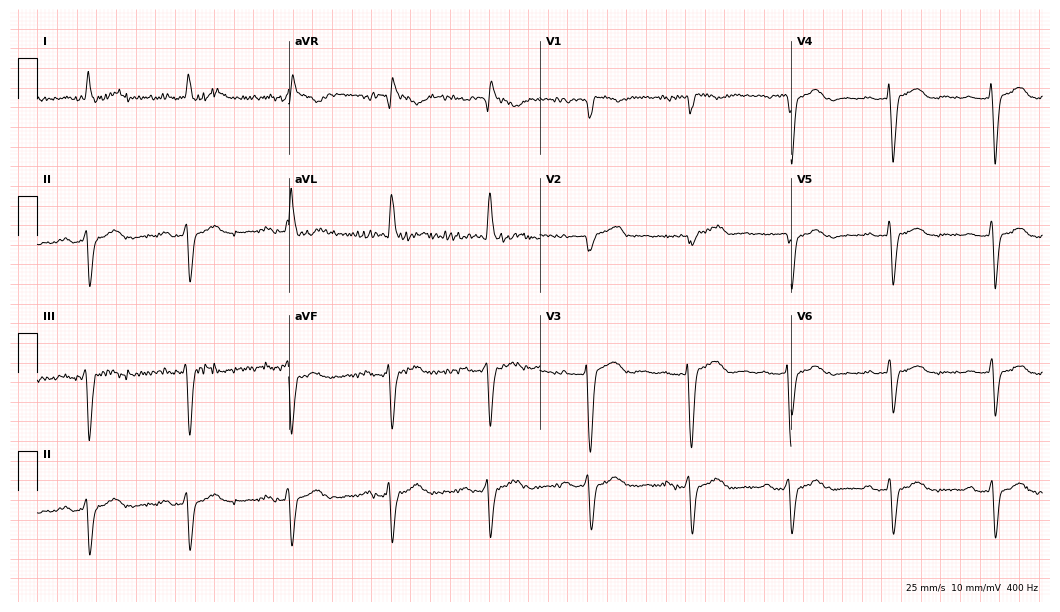
Resting 12-lead electrocardiogram. Patient: a 70-year-old female. The tracing shows first-degree AV block.